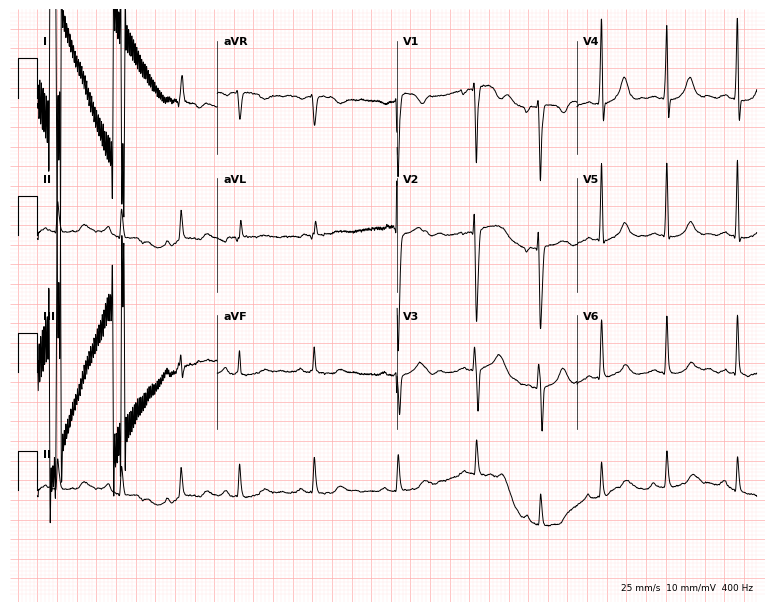
Resting 12-lead electrocardiogram. Patient: a female, 17 years old. Read as a normal ECG.